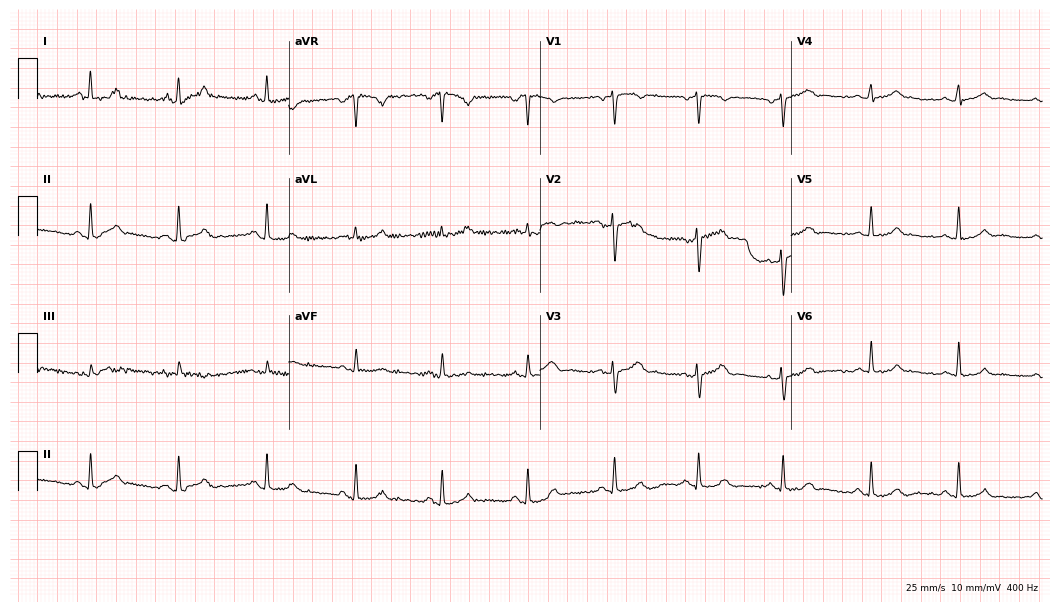
ECG (10.2-second recording at 400 Hz) — a female, 35 years old. Labelled as a normal ECG.